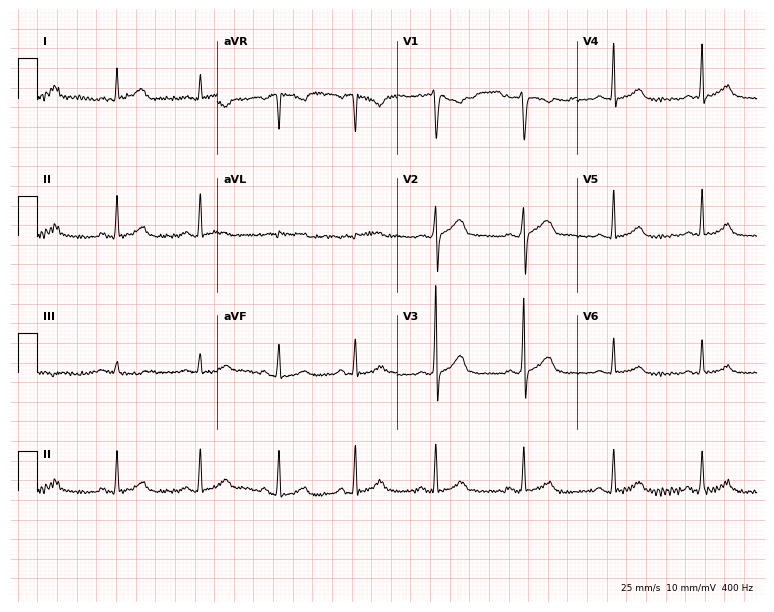
12-lead ECG from a woman, 30 years old (7.3-second recording at 400 Hz). No first-degree AV block, right bundle branch block (RBBB), left bundle branch block (LBBB), sinus bradycardia, atrial fibrillation (AF) or sinus tachycardia recorded for this tracing. Only these six findings were labelled.